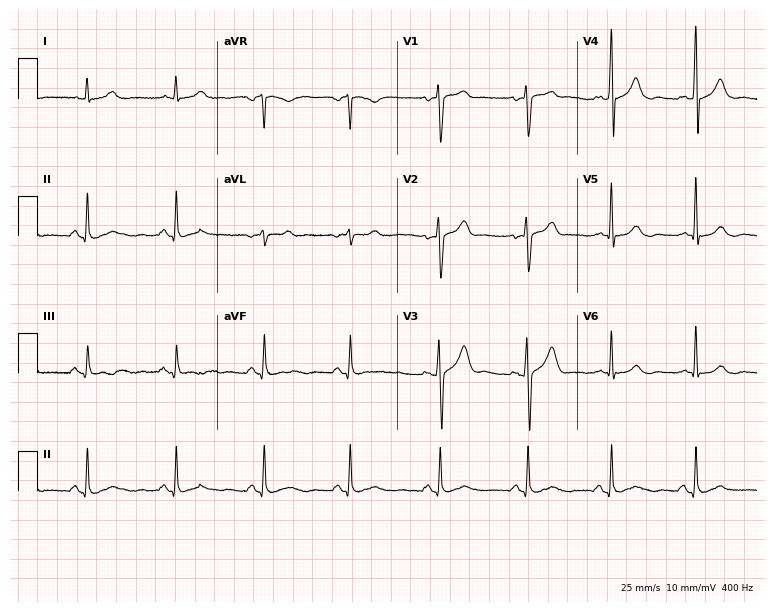
Electrocardiogram, a male patient, 52 years old. Of the six screened findings (first-degree AV block, right bundle branch block (RBBB), left bundle branch block (LBBB), sinus bradycardia, atrial fibrillation (AF), sinus tachycardia), none is recorded.